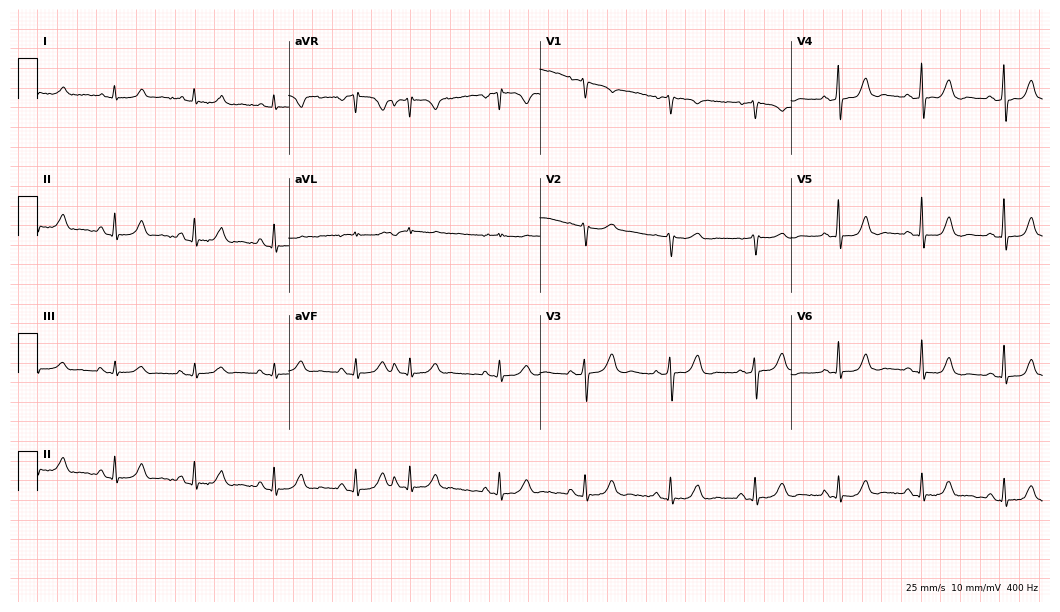
12-lead ECG from a 65-year-old woman (10.2-second recording at 400 Hz). No first-degree AV block, right bundle branch block (RBBB), left bundle branch block (LBBB), sinus bradycardia, atrial fibrillation (AF) or sinus tachycardia recorded for this tracing.